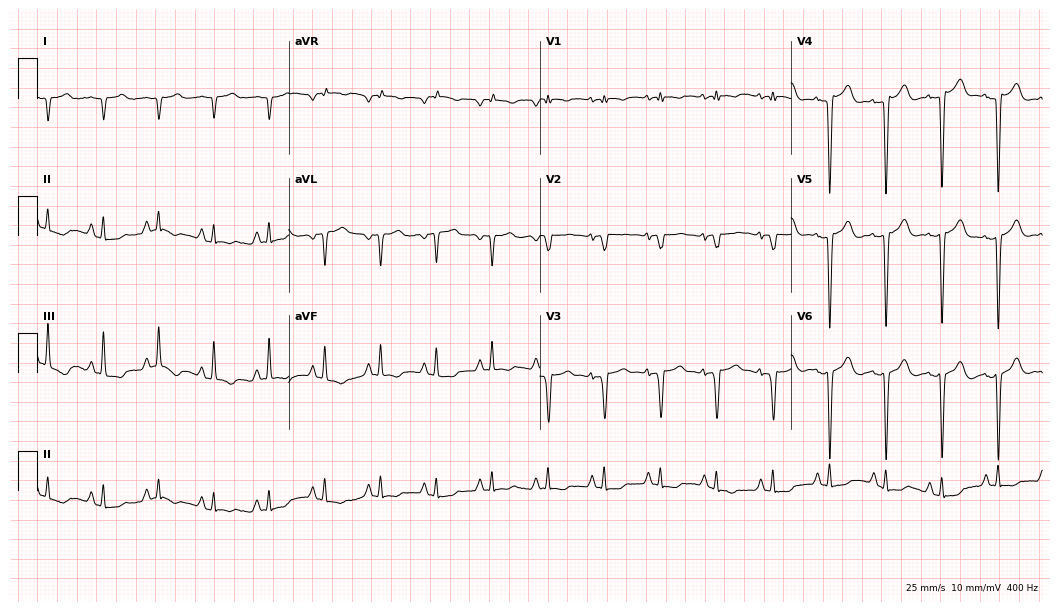
12-lead ECG from a female patient, 45 years old. Screened for six findings — first-degree AV block, right bundle branch block, left bundle branch block, sinus bradycardia, atrial fibrillation, sinus tachycardia — none is recorded.